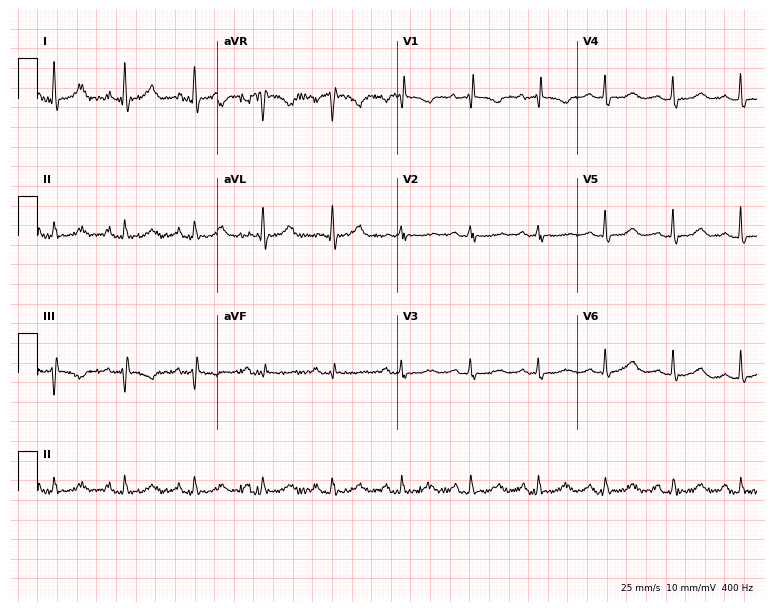
Standard 12-lead ECG recorded from a 66-year-old woman (7.3-second recording at 400 Hz). None of these six findings is recorded: first-degree AV block, right bundle branch block (RBBB), left bundle branch block (LBBB), sinus bradycardia, atrial fibrillation (AF), sinus tachycardia.